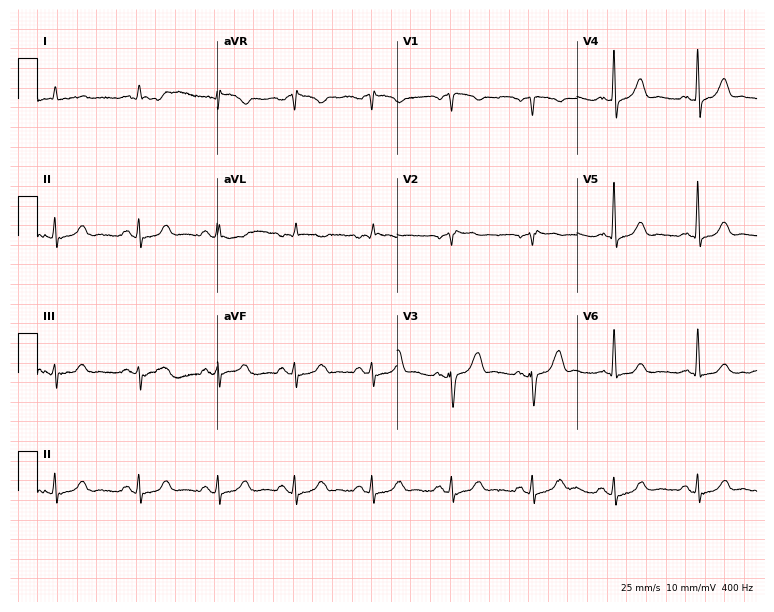
Electrocardiogram (7.3-second recording at 400 Hz), a 68-year-old male. Overall reading on record: normal ECG.